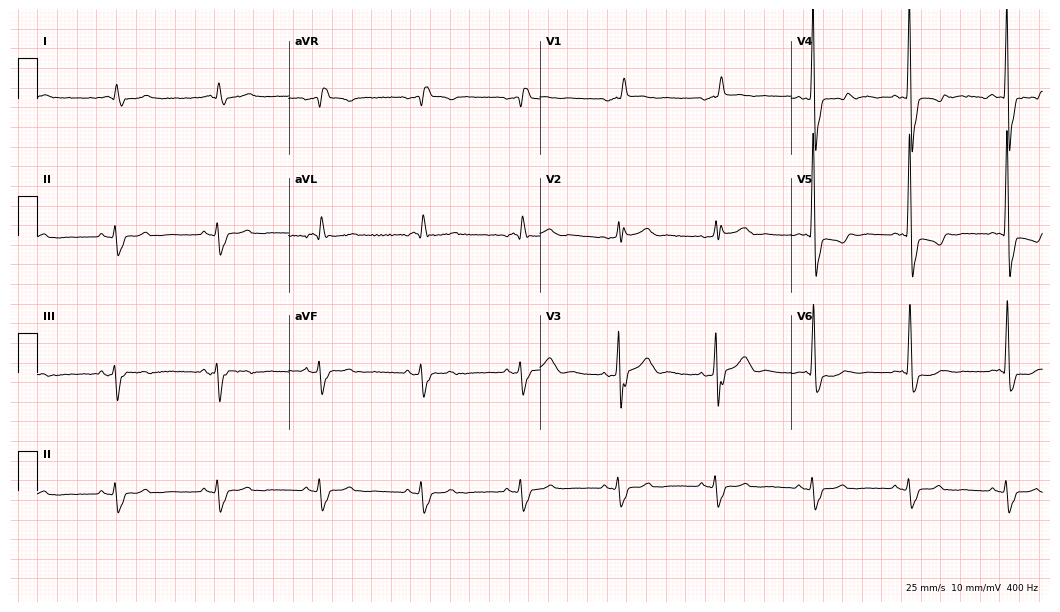
12-lead ECG (10.2-second recording at 400 Hz) from a male, 83 years old. Findings include right bundle branch block.